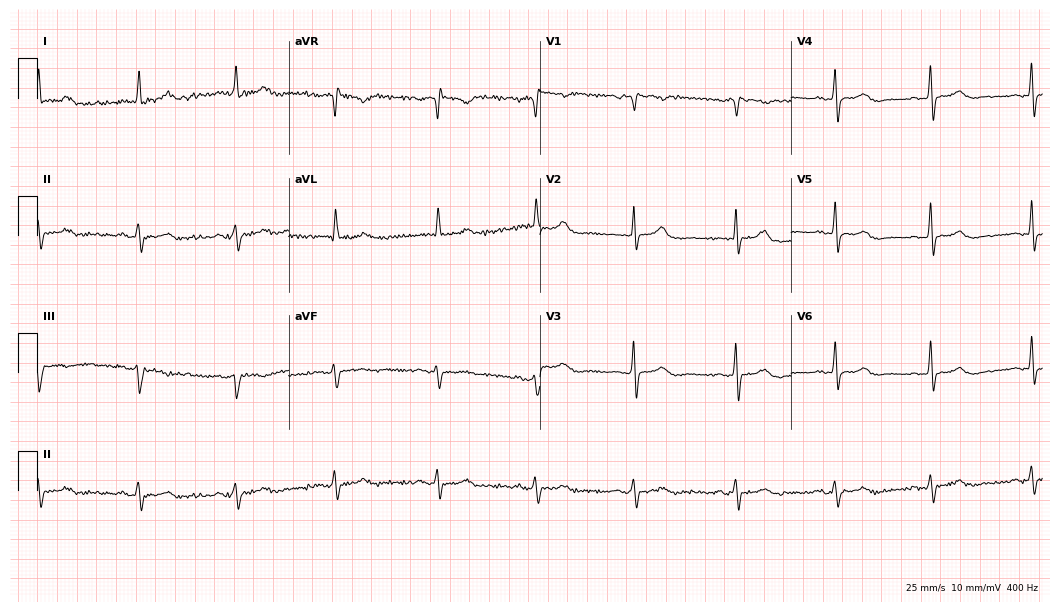
Electrocardiogram (10.2-second recording at 400 Hz), a woman, 71 years old. Of the six screened findings (first-degree AV block, right bundle branch block, left bundle branch block, sinus bradycardia, atrial fibrillation, sinus tachycardia), none is recorded. Findings outside these six are not listed.